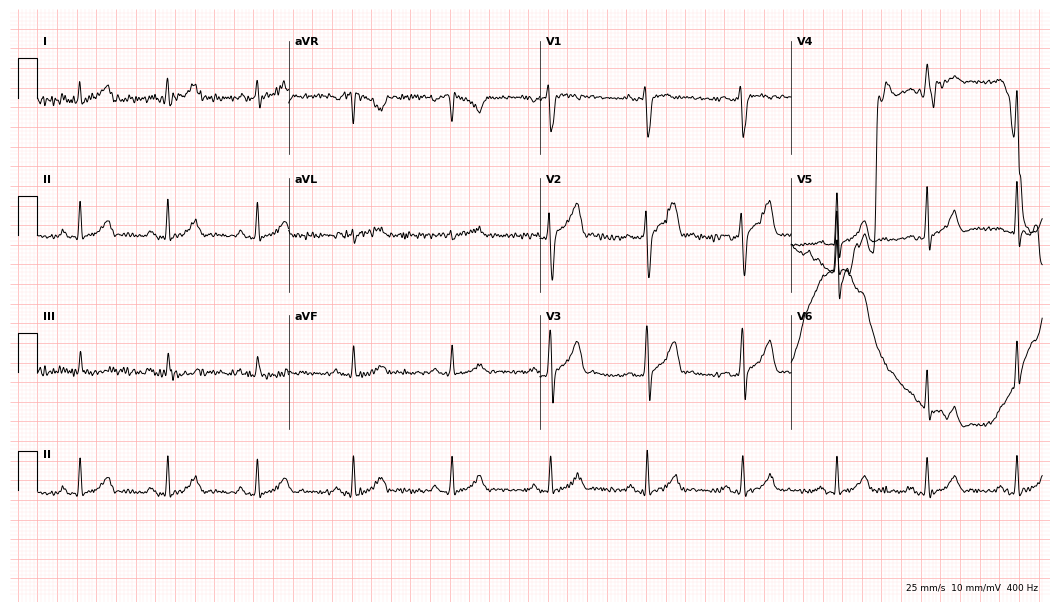
ECG — a male patient, 42 years old. Screened for six findings — first-degree AV block, right bundle branch block, left bundle branch block, sinus bradycardia, atrial fibrillation, sinus tachycardia — none is recorded. Other findings, if any, are not listed.